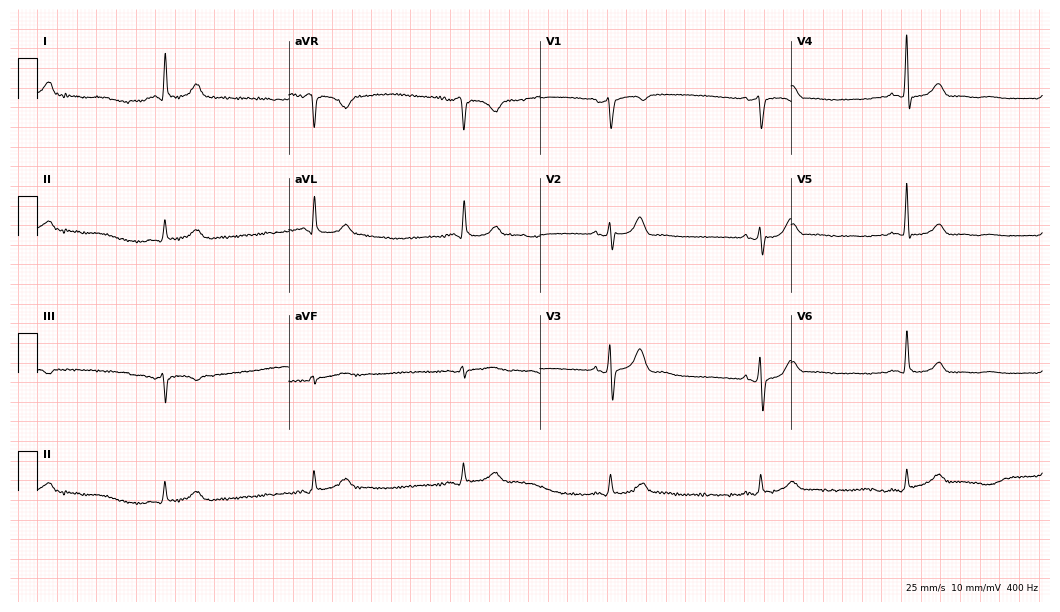
Standard 12-lead ECG recorded from a 60-year-old male (10.2-second recording at 400 Hz). The tracing shows sinus bradycardia (a sinus rate of 50 beats per minute or less).